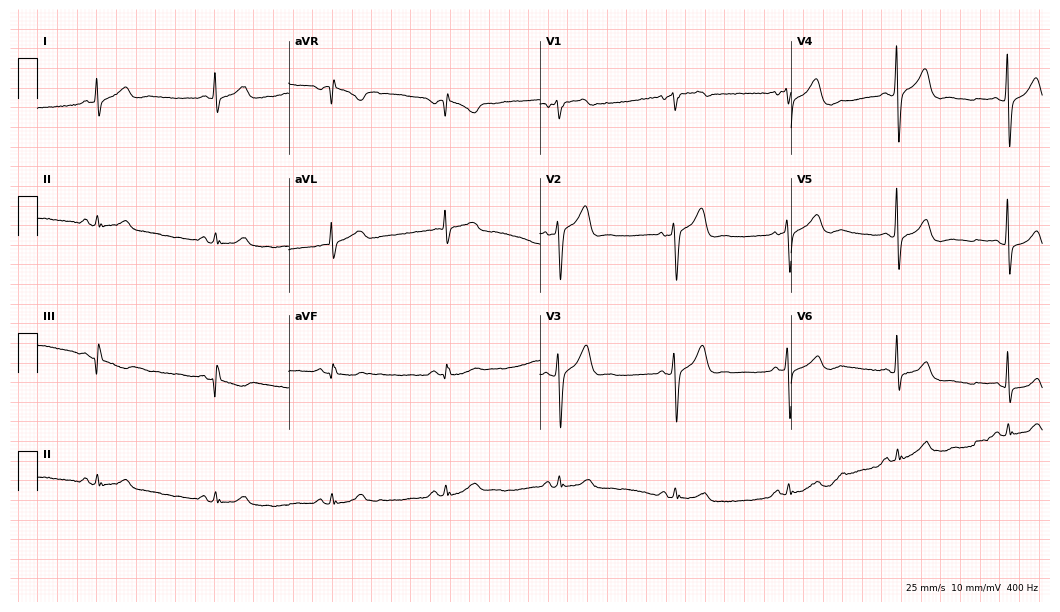
Electrocardiogram (10.2-second recording at 400 Hz), a male, 50 years old. Overall reading on record: normal ECG.